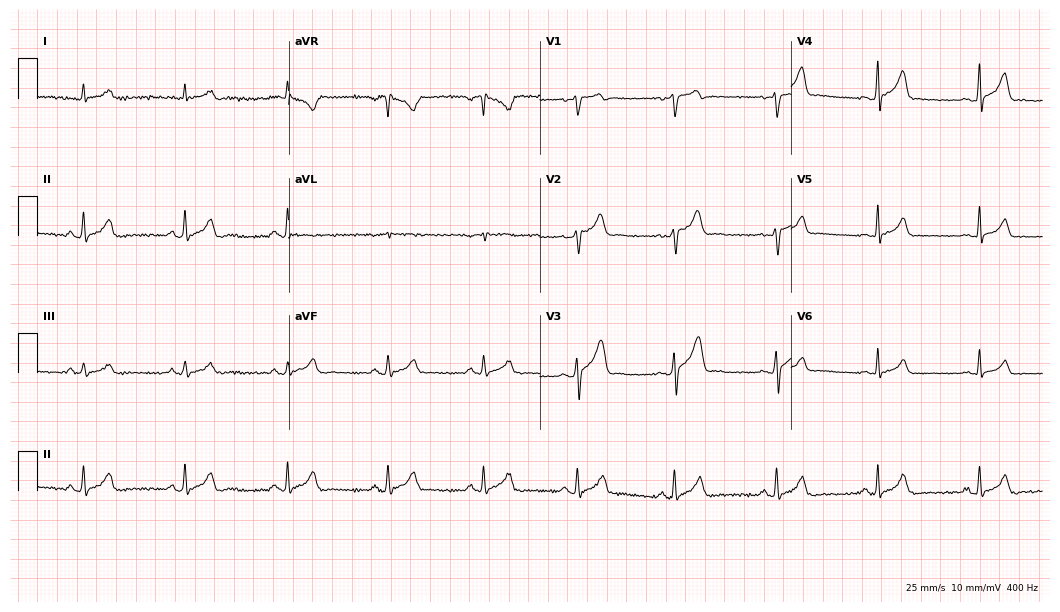
Standard 12-lead ECG recorded from a 23-year-old male (10.2-second recording at 400 Hz). Read as a normal ECG.